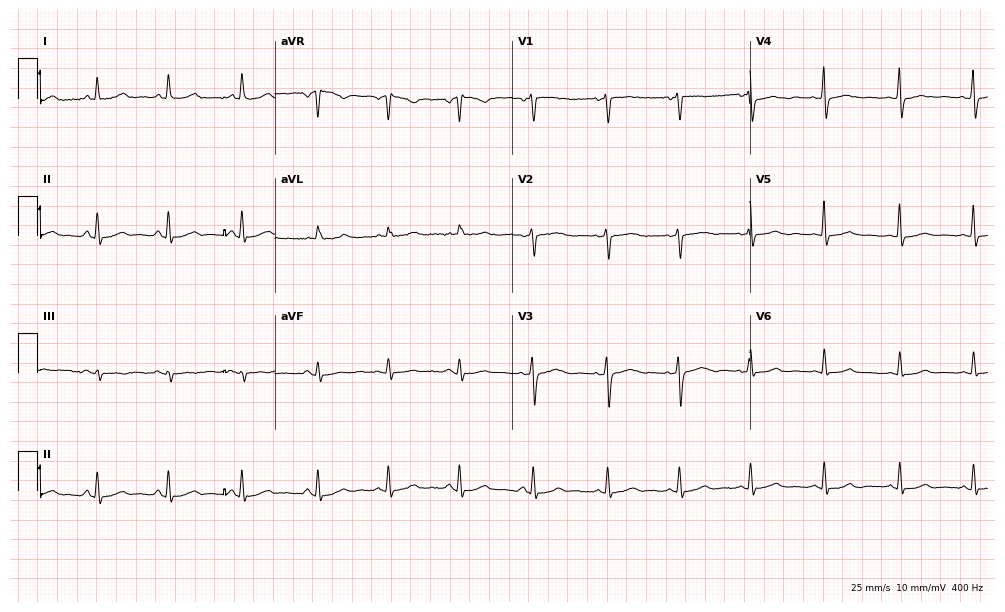
12-lead ECG (9.7-second recording at 400 Hz) from a woman, 52 years old. Labelled as a normal ECG.